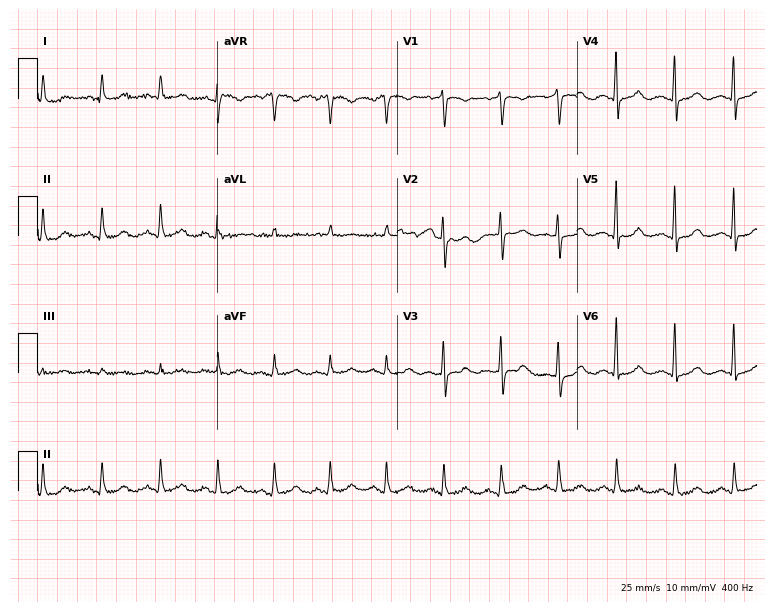
Standard 12-lead ECG recorded from an 80-year-old woman (7.3-second recording at 400 Hz). The tracing shows sinus tachycardia (a sinus rate of 100 beats per minute or more).